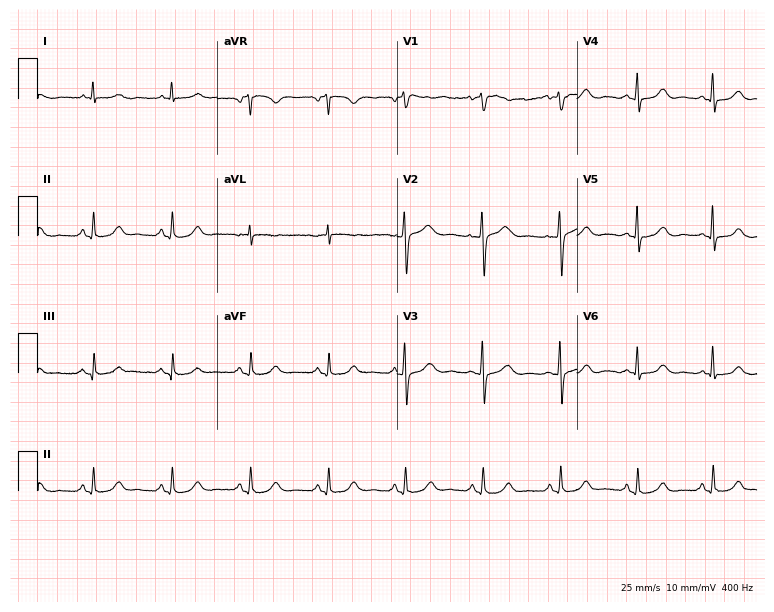
Electrocardiogram (7.3-second recording at 400 Hz), a female patient, 59 years old. Of the six screened findings (first-degree AV block, right bundle branch block, left bundle branch block, sinus bradycardia, atrial fibrillation, sinus tachycardia), none is recorded. Other findings, if any, are not listed.